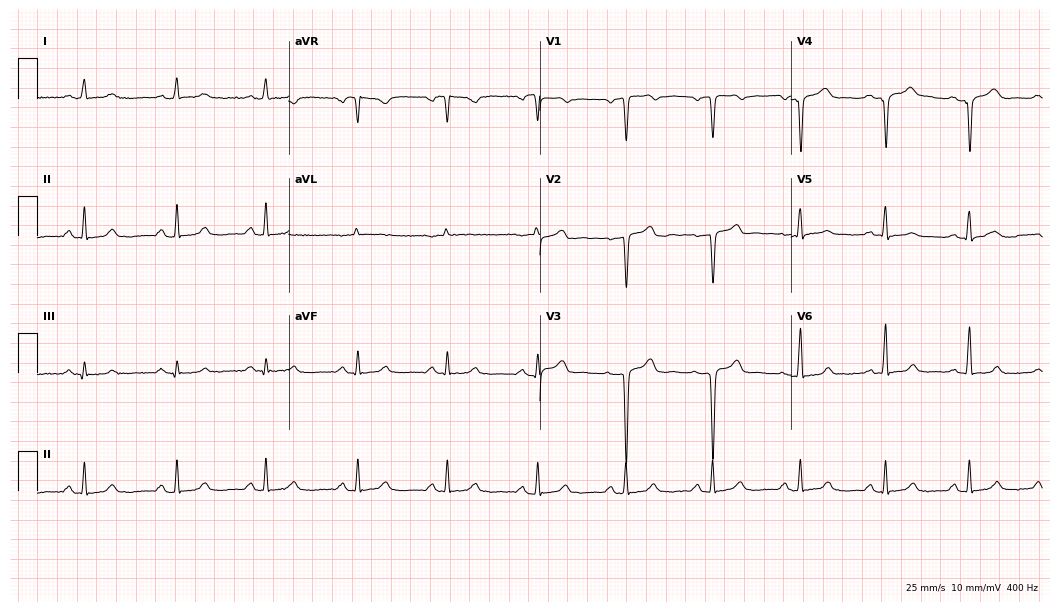
Electrocardiogram, a 35-year-old female. Of the six screened findings (first-degree AV block, right bundle branch block, left bundle branch block, sinus bradycardia, atrial fibrillation, sinus tachycardia), none is recorded.